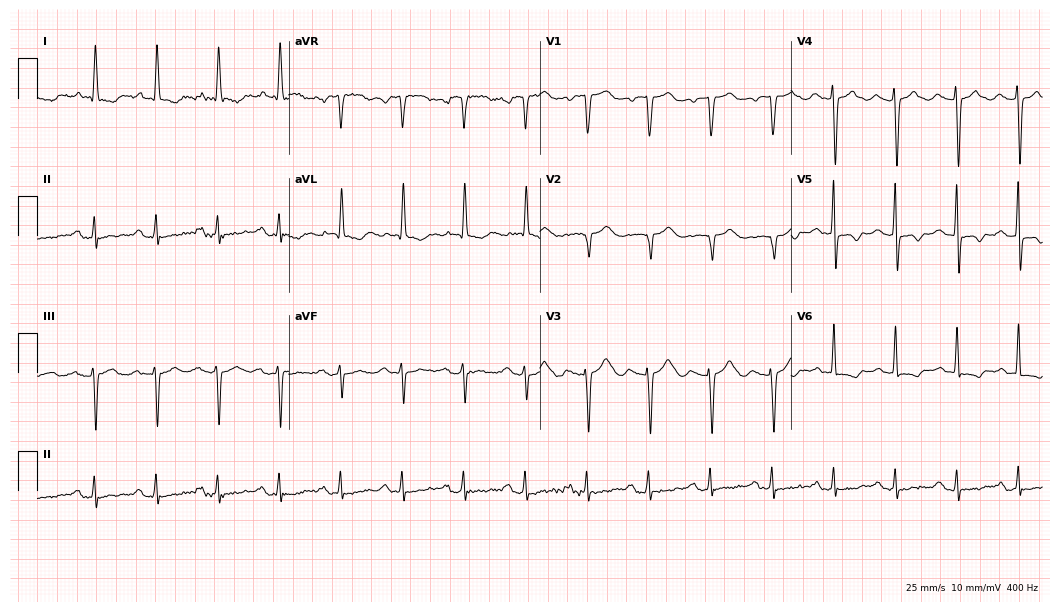
Resting 12-lead electrocardiogram (10.2-second recording at 400 Hz). Patient: an 84-year-old woman. None of these six findings is recorded: first-degree AV block, right bundle branch block (RBBB), left bundle branch block (LBBB), sinus bradycardia, atrial fibrillation (AF), sinus tachycardia.